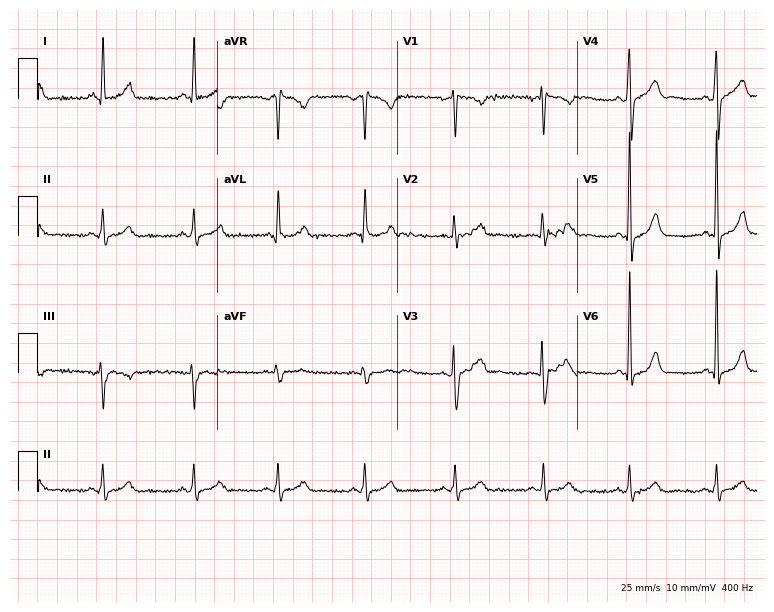
Standard 12-lead ECG recorded from a 35-year-old female patient. Read as a normal ECG.